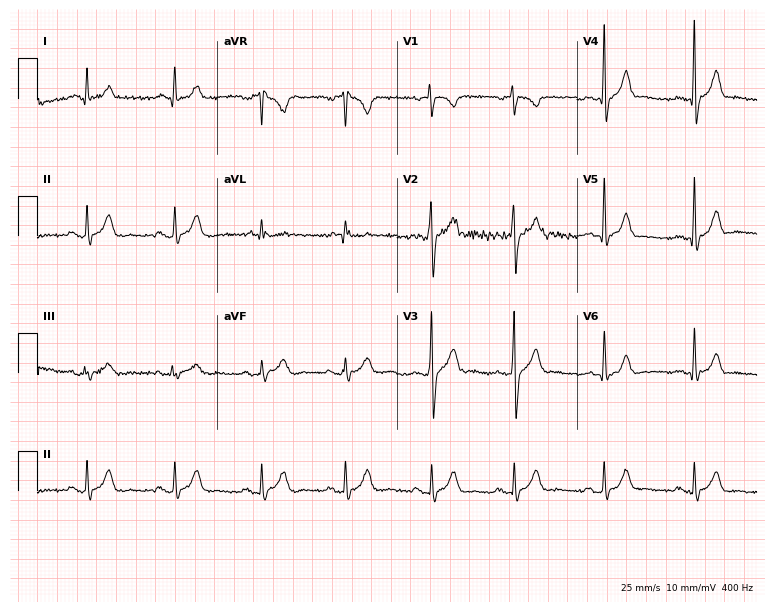
12-lead ECG from a woman, 42 years old. Recorded interpretation: within normal limits.